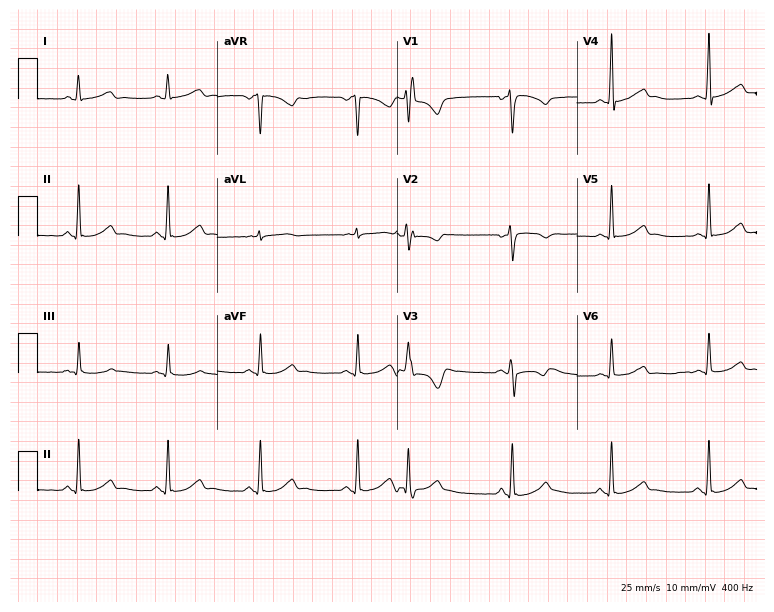
ECG (7.3-second recording at 400 Hz) — a female patient, 33 years old. Screened for six findings — first-degree AV block, right bundle branch block, left bundle branch block, sinus bradycardia, atrial fibrillation, sinus tachycardia — none is recorded. Only these six findings were labelled.